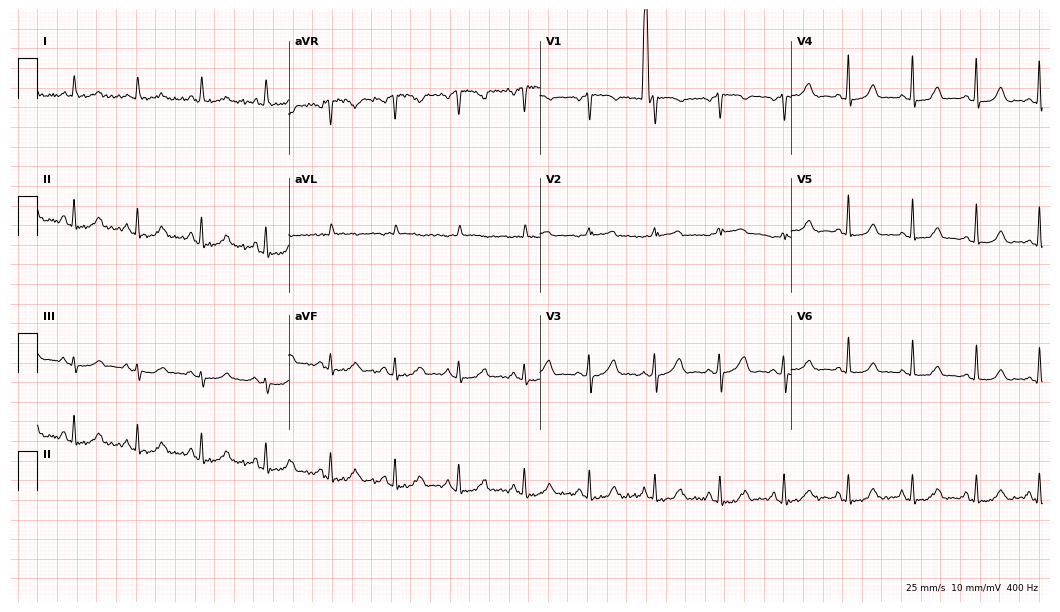
ECG (10.2-second recording at 400 Hz) — a 54-year-old female. Labelled as a normal ECG.